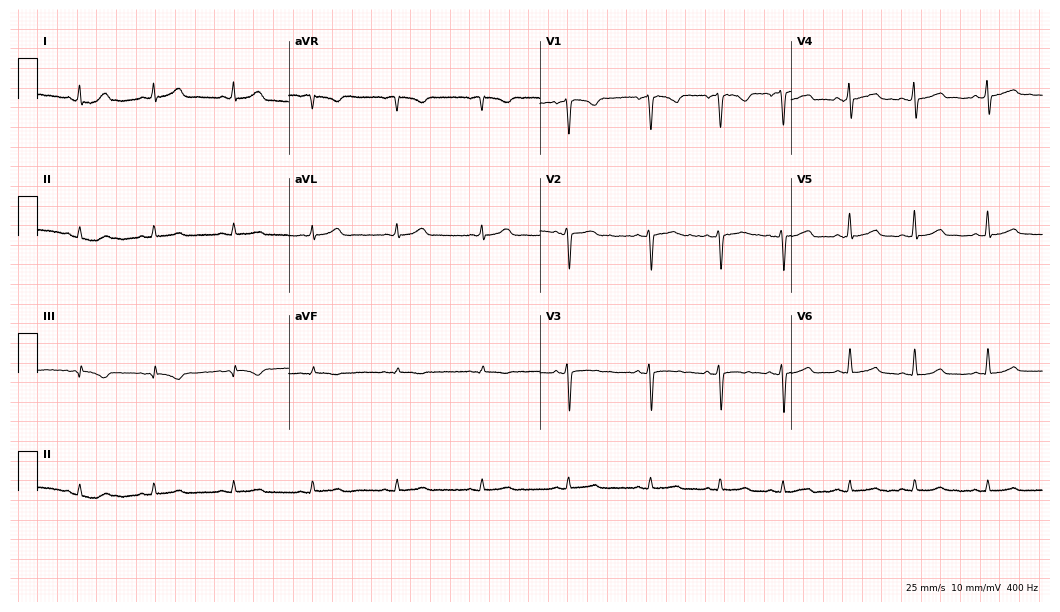
Resting 12-lead electrocardiogram (10.2-second recording at 400 Hz). Patient: a 30-year-old woman. None of these six findings is recorded: first-degree AV block, right bundle branch block, left bundle branch block, sinus bradycardia, atrial fibrillation, sinus tachycardia. Only these six findings were labelled.